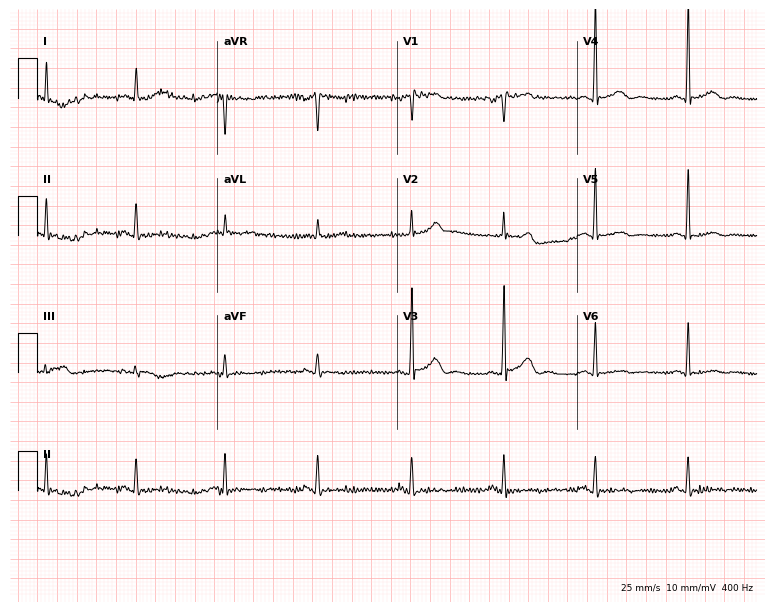
Electrocardiogram, a man, 58 years old. Of the six screened findings (first-degree AV block, right bundle branch block (RBBB), left bundle branch block (LBBB), sinus bradycardia, atrial fibrillation (AF), sinus tachycardia), none is recorded.